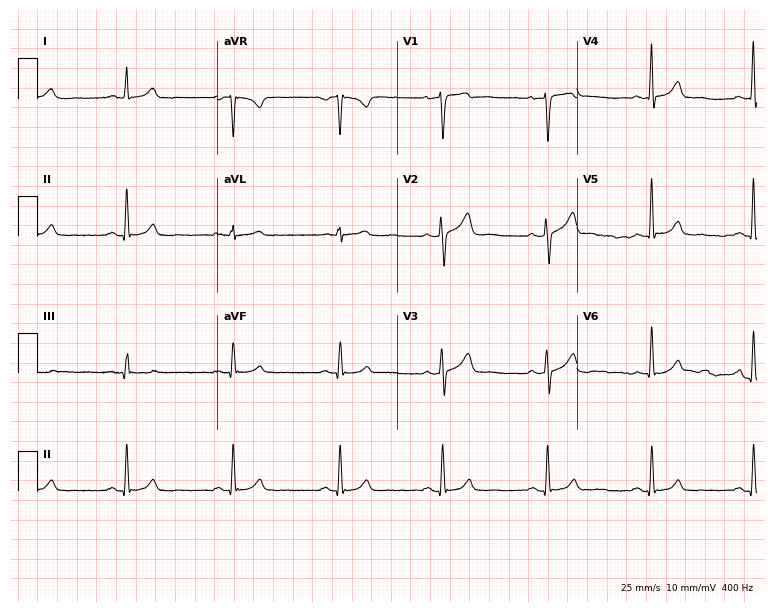
Standard 12-lead ECG recorded from a man, 60 years old (7.3-second recording at 400 Hz). Read as a normal ECG.